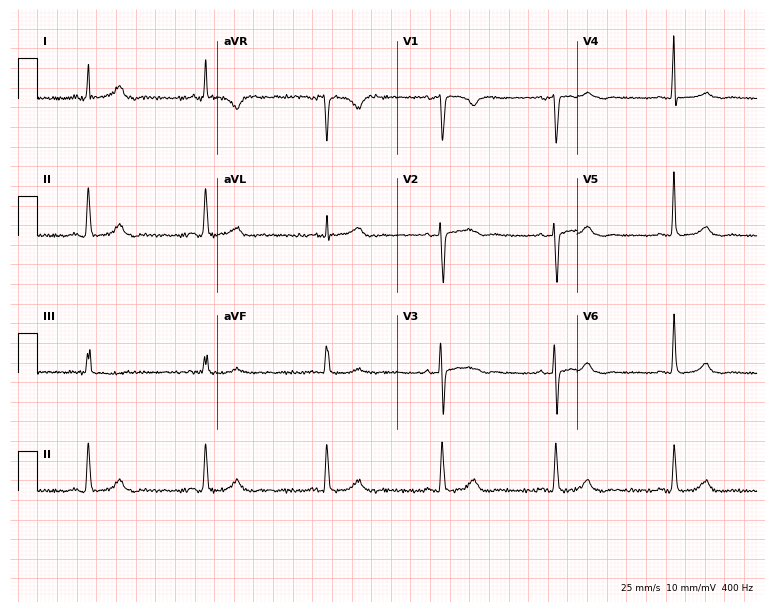
12-lead ECG from a female, 55 years old. No first-degree AV block, right bundle branch block (RBBB), left bundle branch block (LBBB), sinus bradycardia, atrial fibrillation (AF) or sinus tachycardia recorded for this tracing.